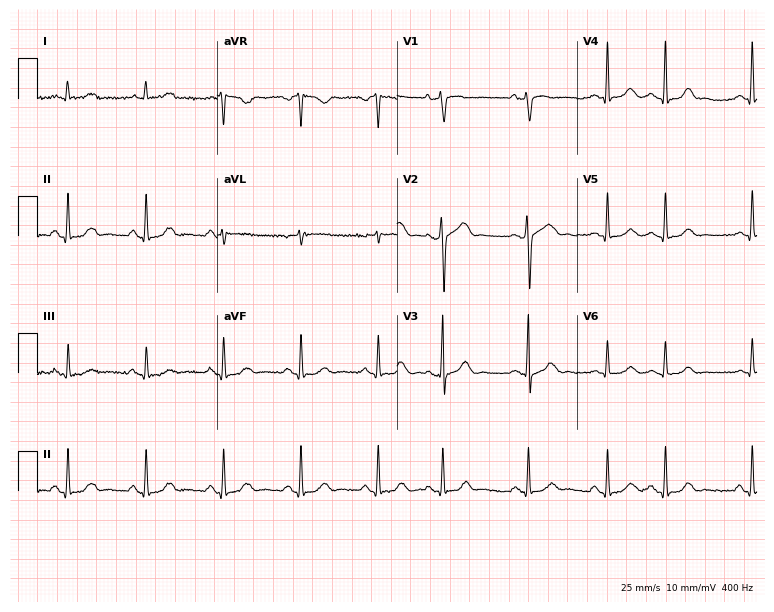
12-lead ECG from a man, 62 years old. Labelled as a normal ECG.